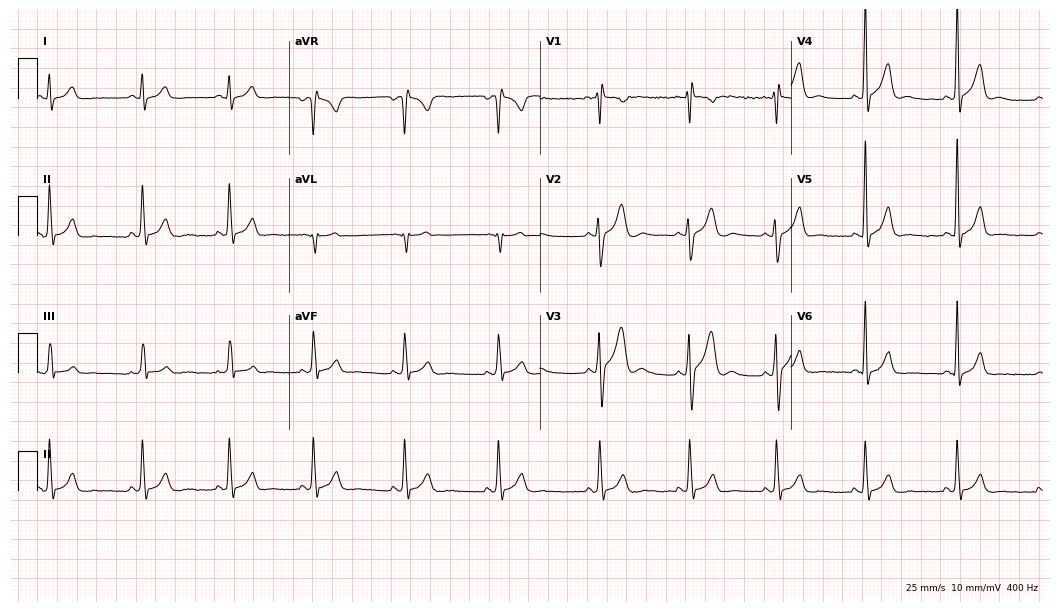
ECG — a male patient, 27 years old. Labelled as a normal ECG.